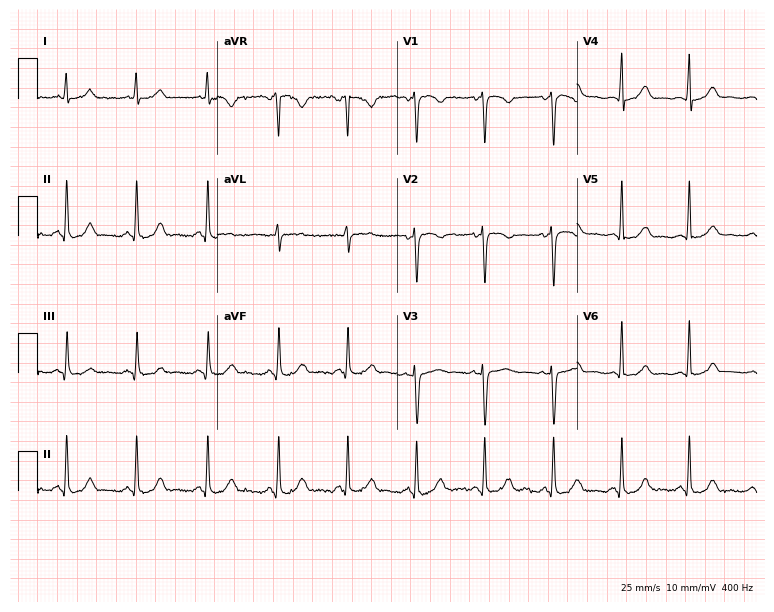
Resting 12-lead electrocardiogram (7.3-second recording at 400 Hz). Patient: a woman, 26 years old. Read as a normal ECG.